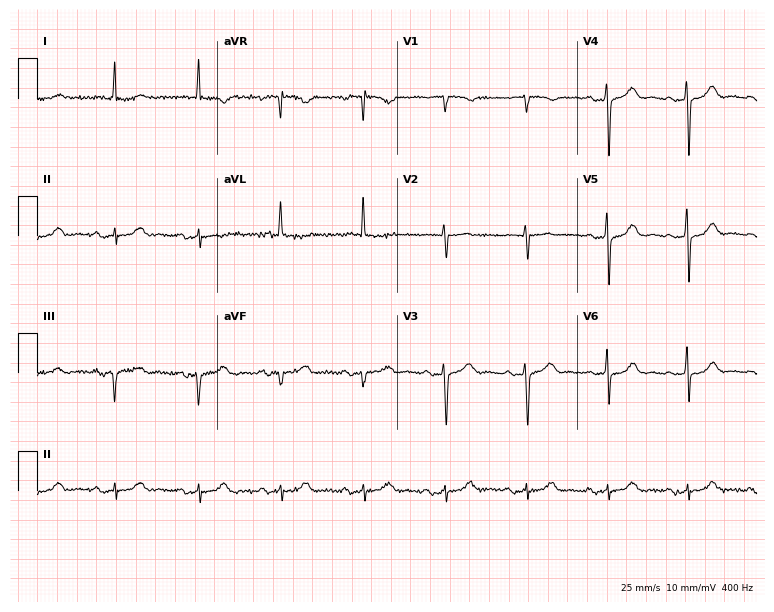
Electrocardiogram, a woman, 78 years old. Of the six screened findings (first-degree AV block, right bundle branch block, left bundle branch block, sinus bradycardia, atrial fibrillation, sinus tachycardia), none is recorded.